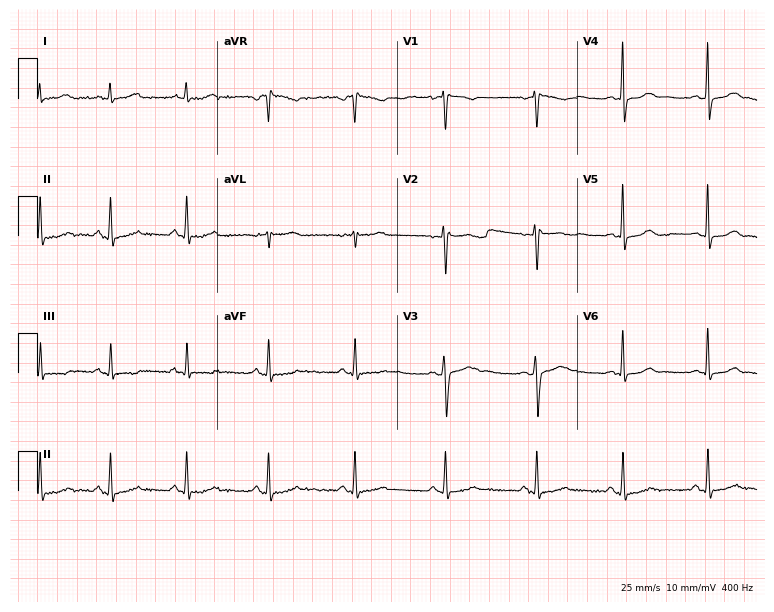
Electrocardiogram (7.3-second recording at 400 Hz), a 35-year-old woman. Of the six screened findings (first-degree AV block, right bundle branch block (RBBB), left bundle branch block (LBBB), sinus bradycardia, atrial fibrillation (AF), sinus tachycardia), none is recorded.